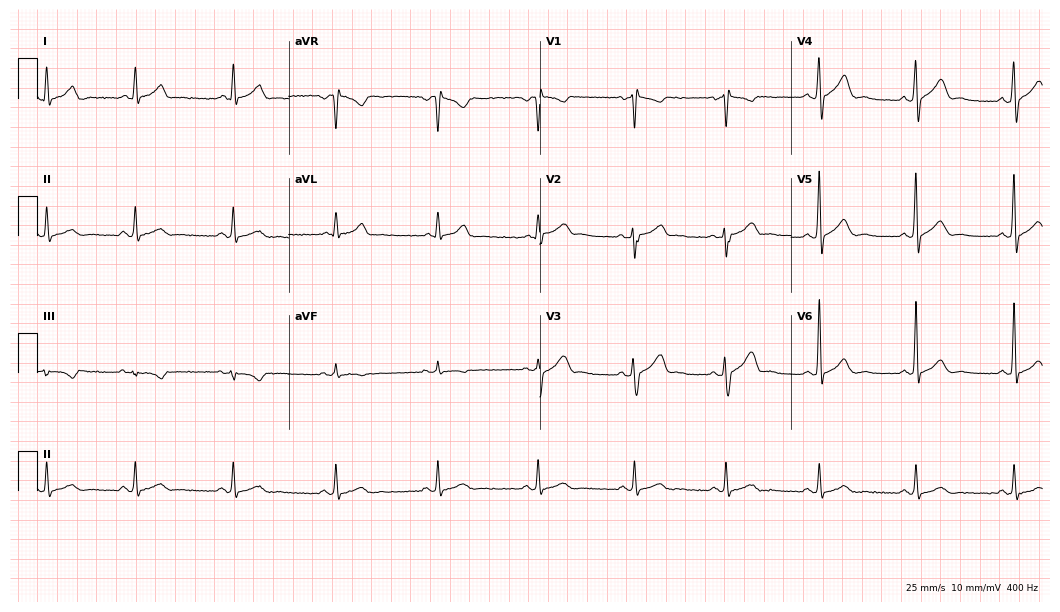
Standard 12-lead ECG recorded from a female, 55 years old (10.2-second recording at 400 Hz). None of these six findings is recorded: first-degree AV block, right bundle branch block, left bundle branch block, sinus bradycardia, atrial fibrillation, sinus tachycardia. Other findings, if any, are not listed.